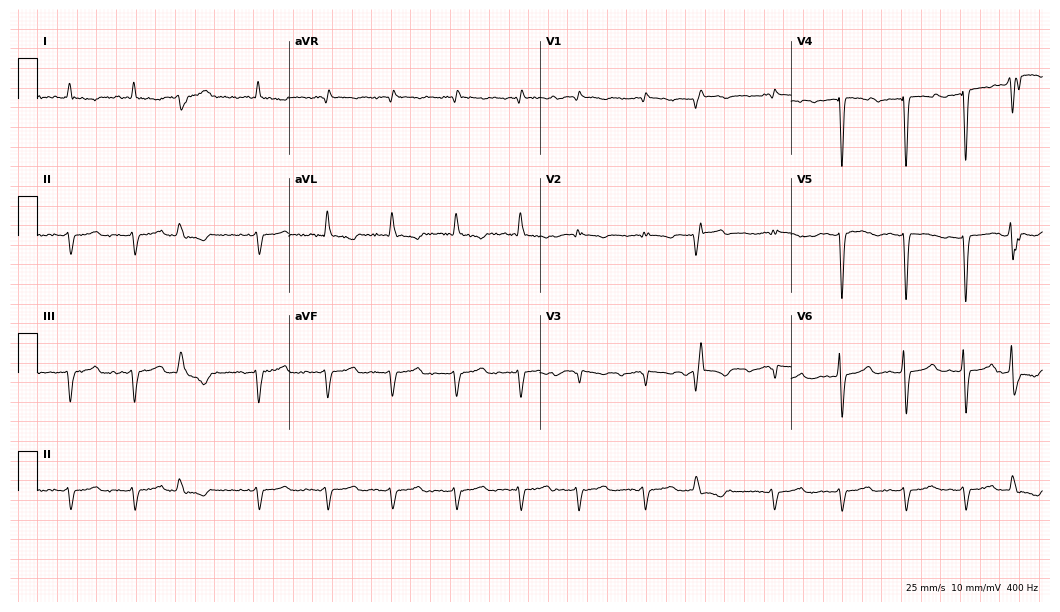
Electrocardiogram (10.2-second recording at 400 Hz), a man, 83 years old. Of the six screened findings (first-degree AV block, right bundle branch block (RBBB), left bundle branch block (LBBB), sinus bradycardia, atrial fibrillation (AF), sinus tachycardia), none is recorded.